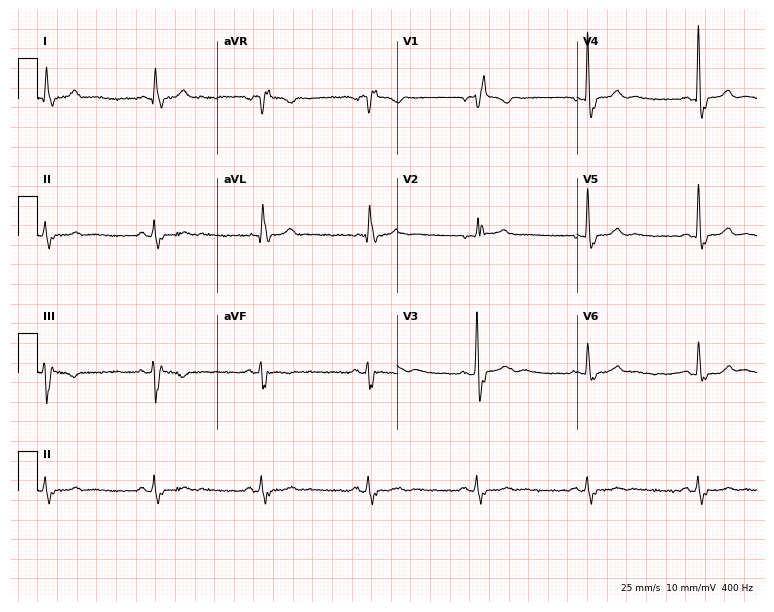
Resting 12-lead electrocardiogram (7.3-second recording at 400 Hz). Patient: a woman, 82 years old. The tracing shows right bundle branch block.